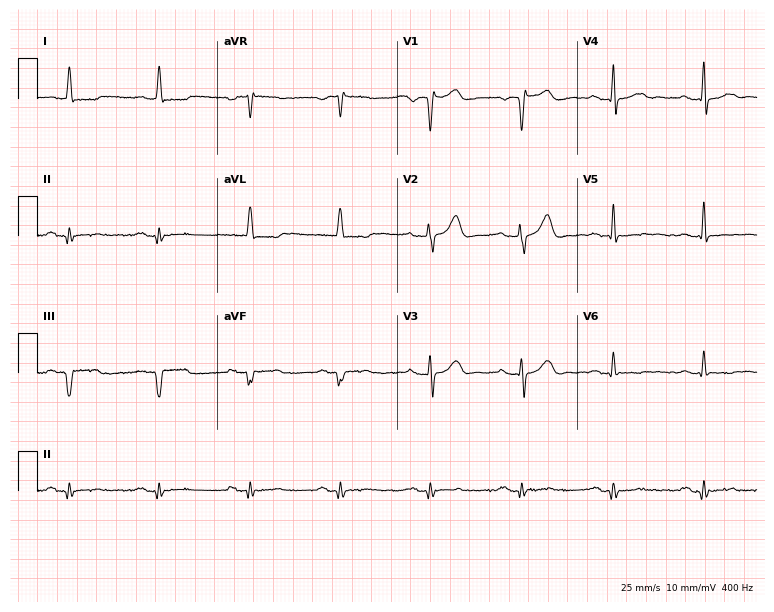
Electrocardiogram, a man, 58 years old. Of the six screened findings (first-degree AV block, right bundle branch block, left bundle branch block, sinus bradycardia, atrial fibrillation, sinus tachycardia), none is recorded. Other findings, if any, are not listed.